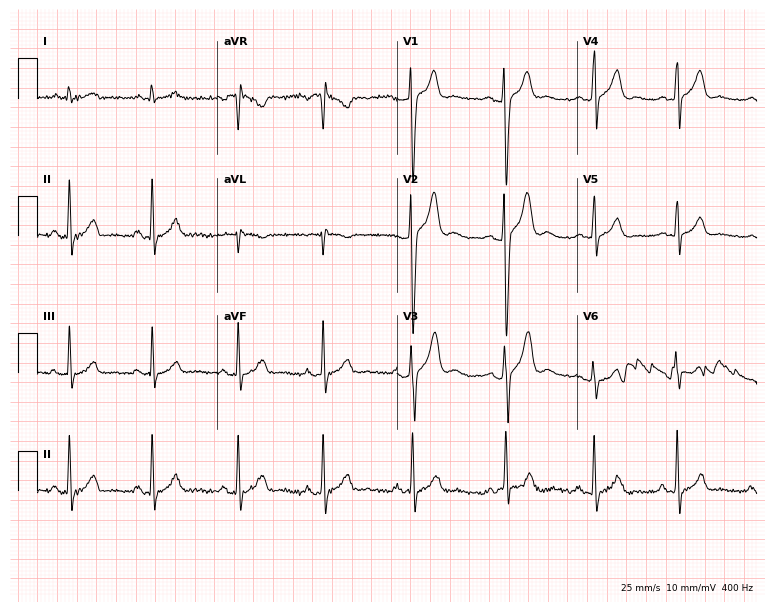
12-lead ECG from a male patient, 31 years old. Screened for six findings — first-degree AV block, right bundle branch block (RBBB), left bundle branch block (LBBB), sinus bradycardia, atrial fibrillation (AF), sinus tachycardia — none is recorded. Findings outside these six are not listed.